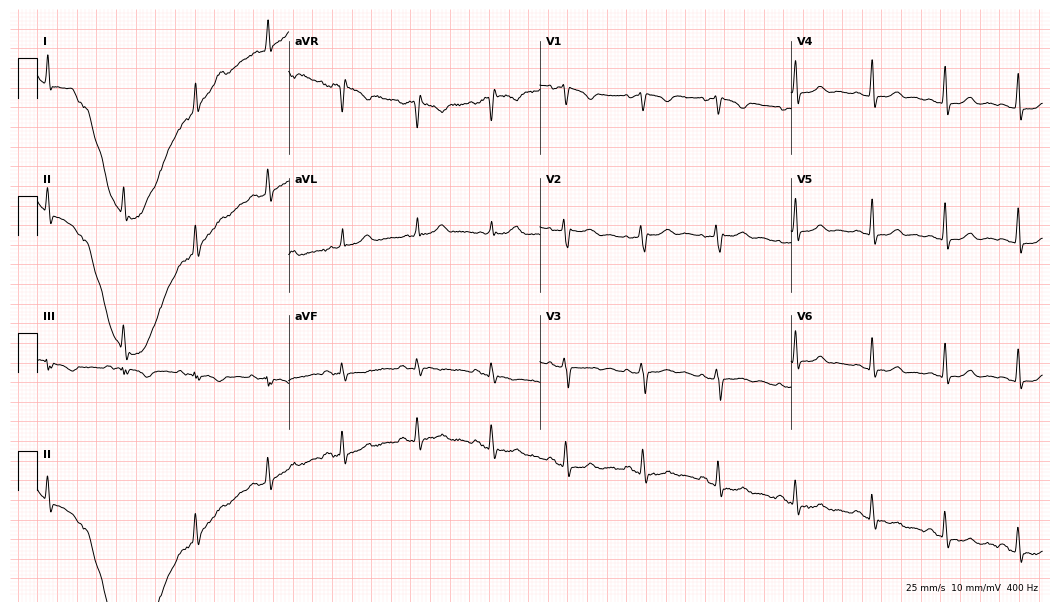
Resting 12-lead electrocardiogram. Patient: a woman, 26 years old. None of these six findings is recorded: first-degree AV block, right bundle branch block, left bundle branch block, sinus bradycardia, atrial fibrillation, sinus tachycardia.